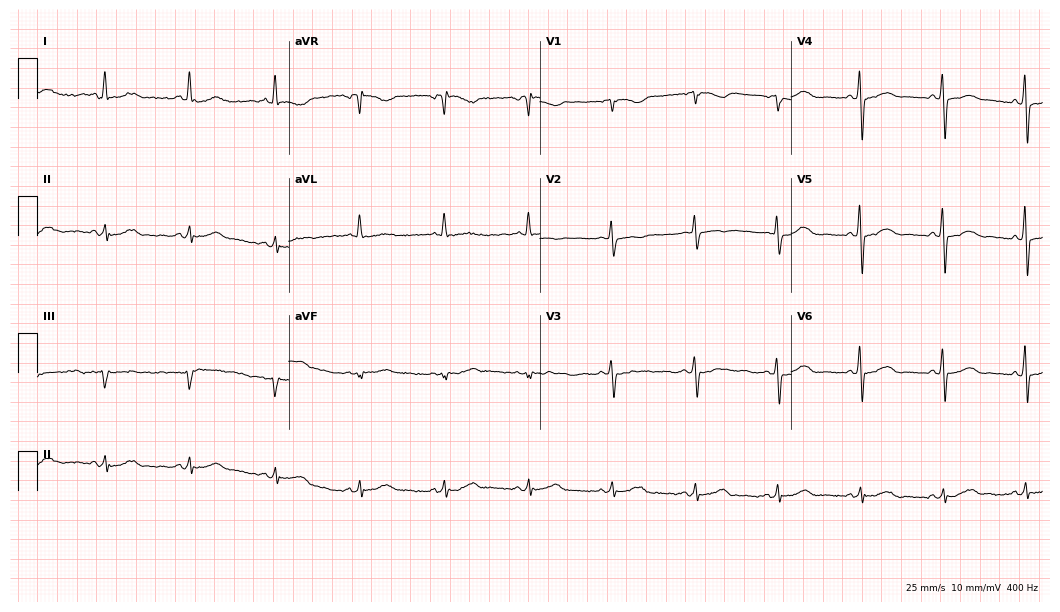
Standard 12-lead ECG recorded from a 65-year-old female patient (10.2-second recording at 400 Hz). None of these six findings is recorded: first-degree AV block, right bundle branch block, left bundle branch block, sinus bradycardia, atrial fibrillation, sinus tachycardia.